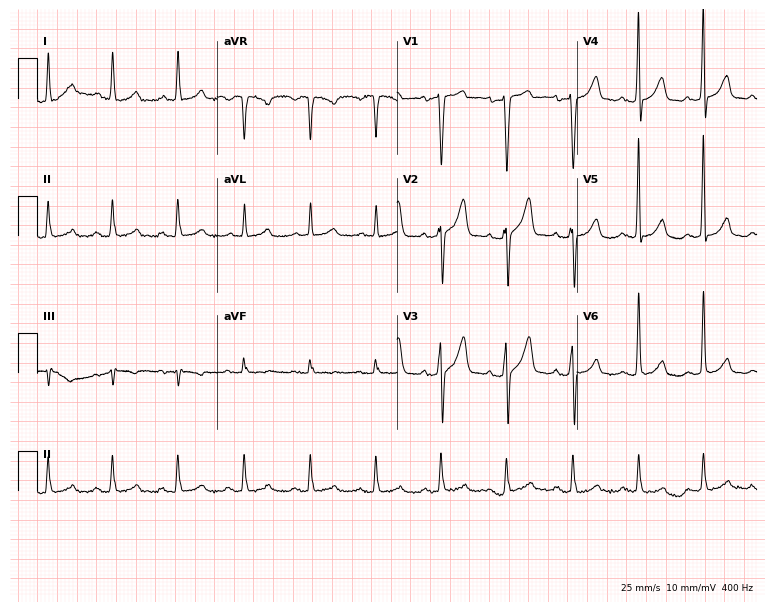
12-lead ECG from a man, 63 years old. Labelled as a normal ECG.